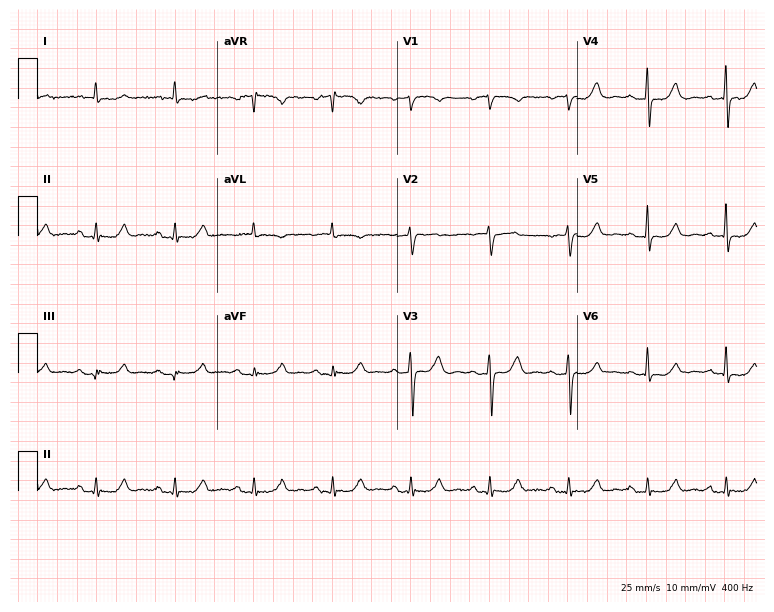
Electrocardiogram, a female patient, 67 years old. Of the six screened findings (first-degree AV block, right bundle branch block (RBBB), left bundle branch block (LBBB), sinus bradycardia, atrial fibrillation (AF), sinus tachycardia), none is recorded. Only these six findings were labelled.